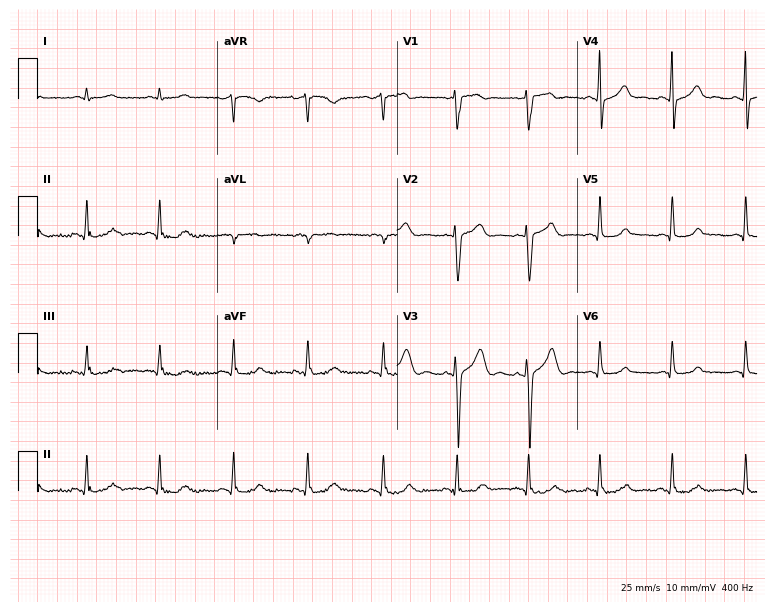
12-lead ECG from a 52-year-old man (7.3-second recording at 400 Hz). No first-degree AV block, right bundle branch block (RBBB), left bundle branch block (LBBB), sinus bradycardia, atrial fibrillation (AF) or sinus tachycardia recorded for this tracing. Other findings, if any, are not listed.